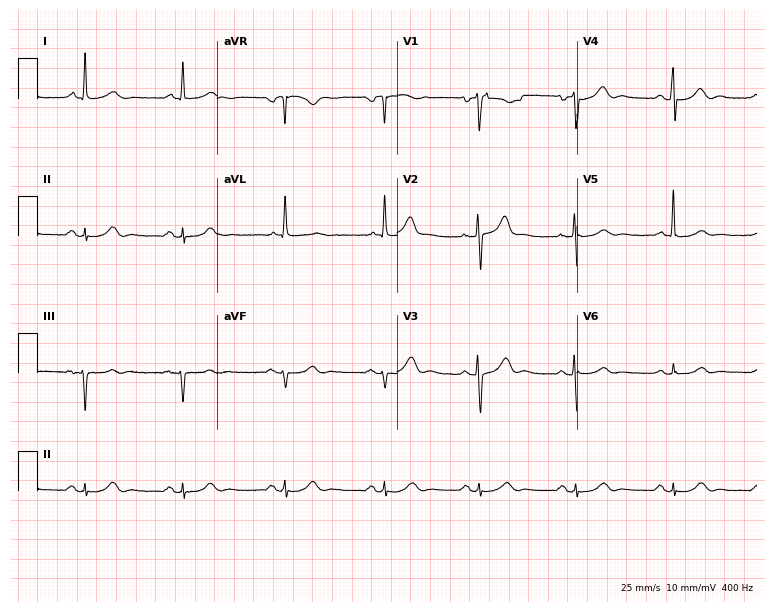
Electrocardiogram (7.3-second recording at 400 Hz), a man, 77 years old. Of the six screened findings (first-degree AV block, right bundle branch block, left bundle branch block, sinus bradycardia, atrial fibrillation, sinus tachycardia), none is recorded.